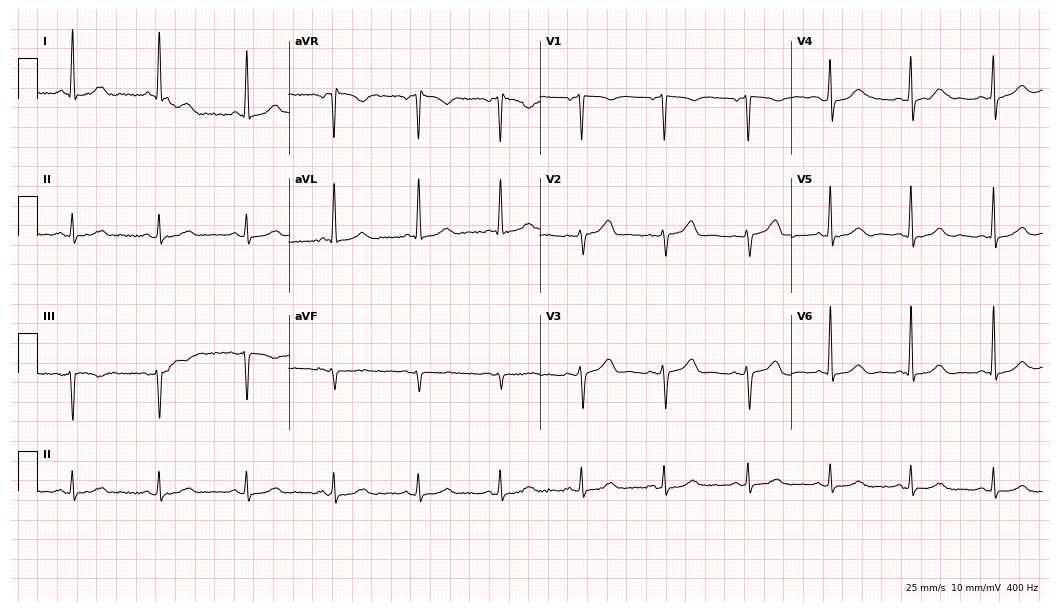
12-lead ECG (10.2-second recording at 400 Hz) from a 59-year-old woman. Labelled as a normal ECG.